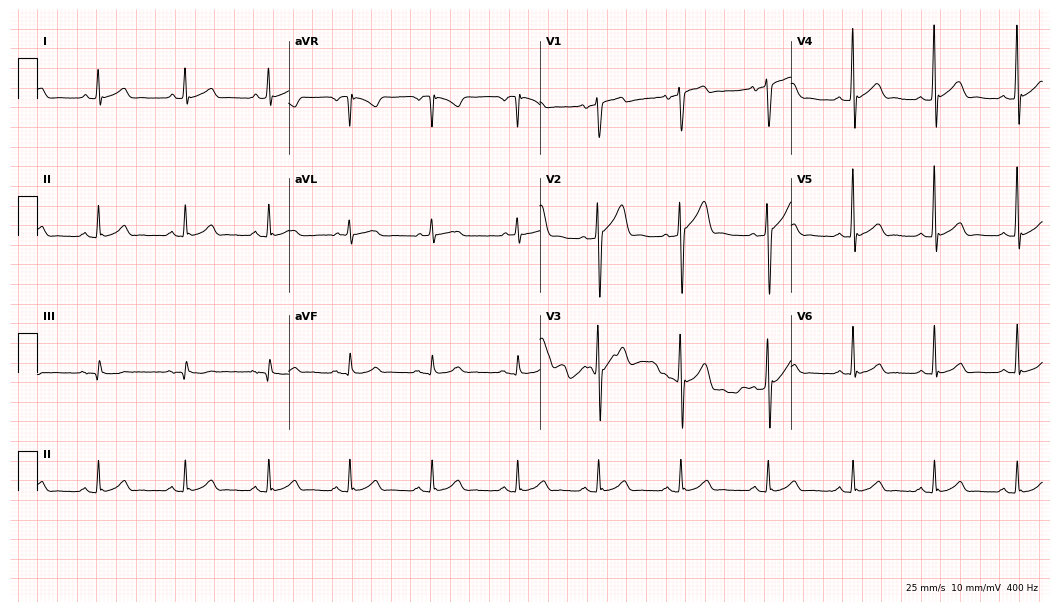
12-lead ECG (10.2-second recording at 400 Hz) from a 32-year-old male patient. Labelled as a normal ECG.